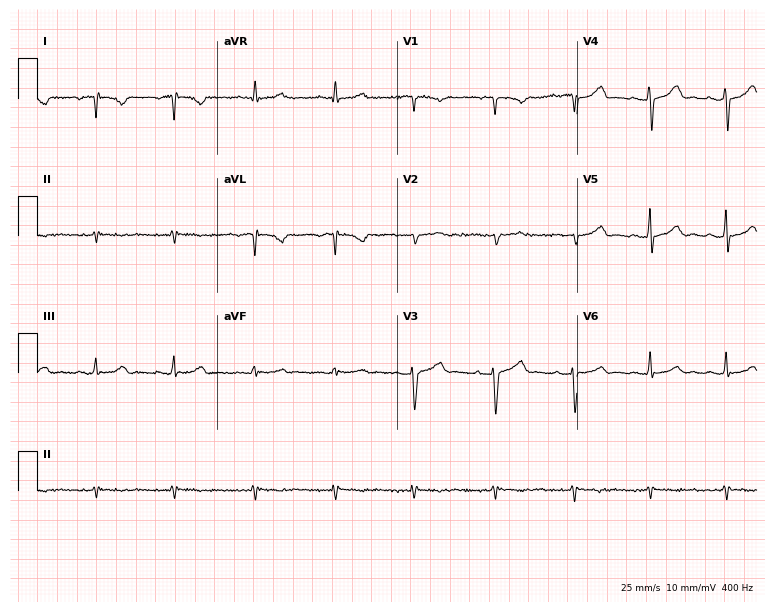
12-lead ECG from a woman, 47 years old (7.3-second recording at 400 Hz). No first-degree AV block, right bundle branch block, left bundle branch block, sinus bradycardia, atrial fibrillation or sinus tachycardia recorded for this tracing. Only these six findings were labelled.